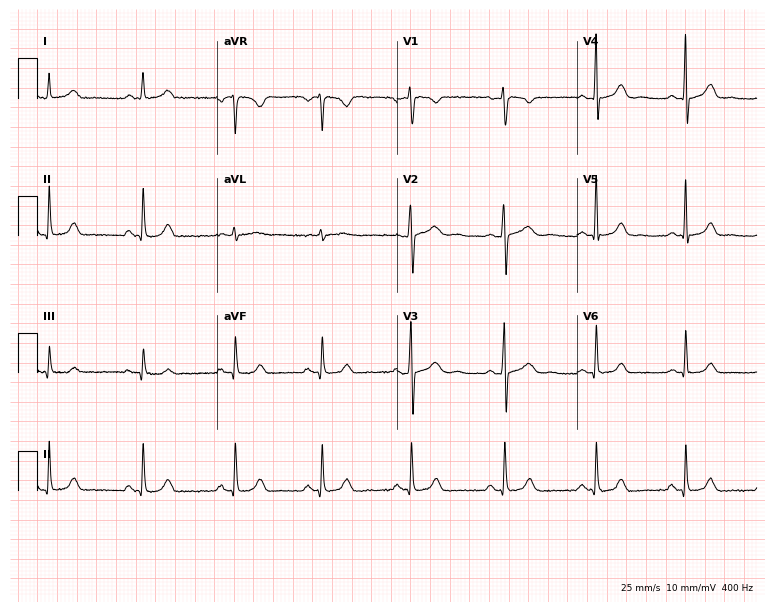
Electrocardiogram, a female, 31 years old. Overall reading on record: normal ECG.